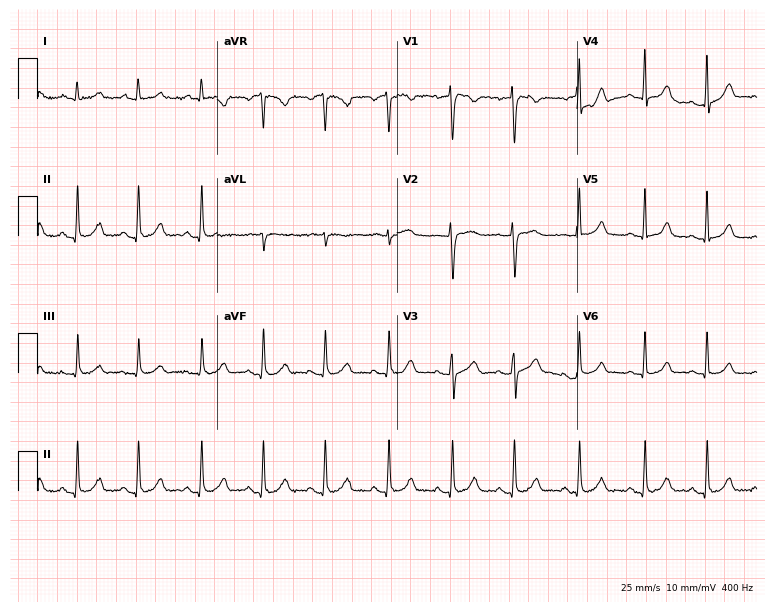
12-lead ECG from a female, 30 years old. Labelled as a normal ECG.